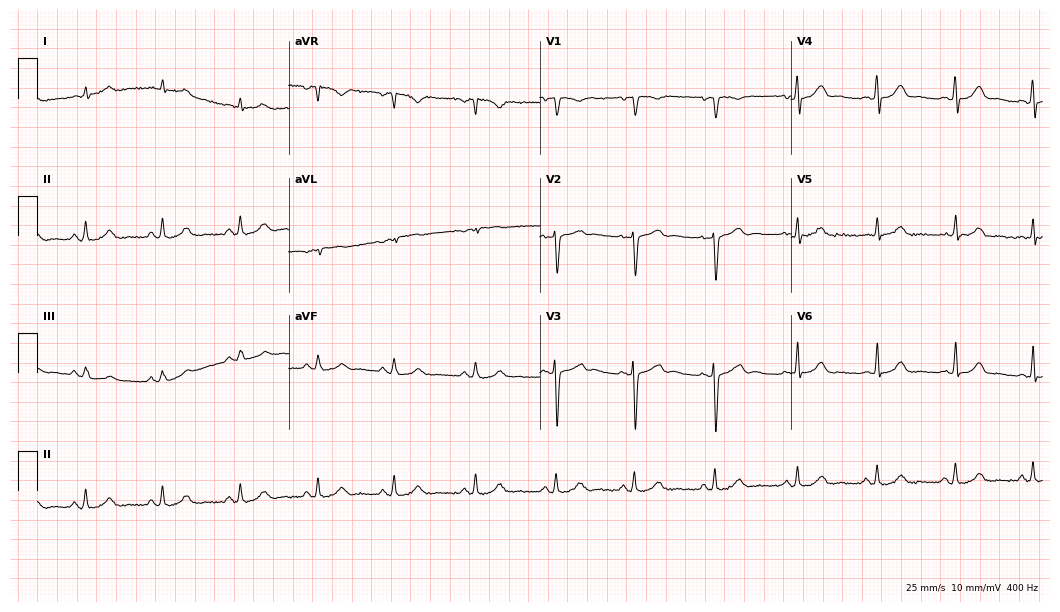
Resting 12-lead electrocardiogram (10.2-second recording at 400 Hz). Patient: a woman, 29 years old. Read as a normal ECG.